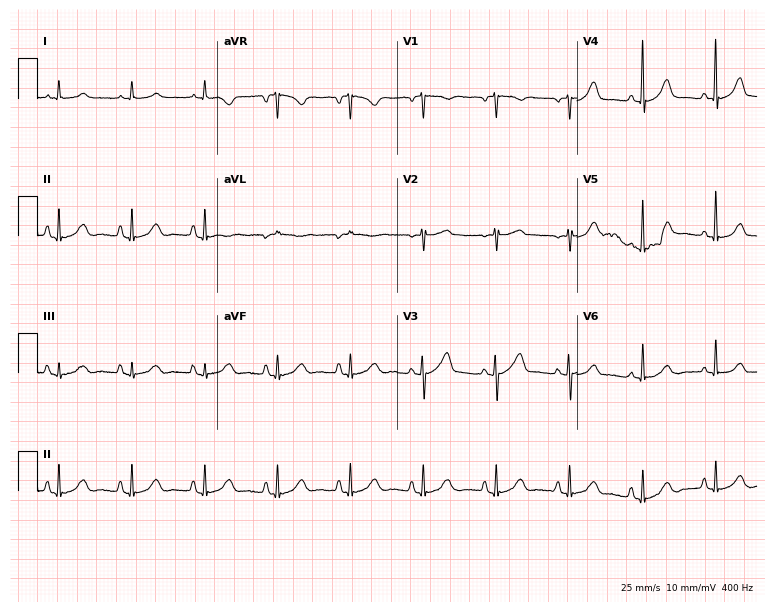
ECG — a woman, 68 years old. Labelled as a normal ECG.